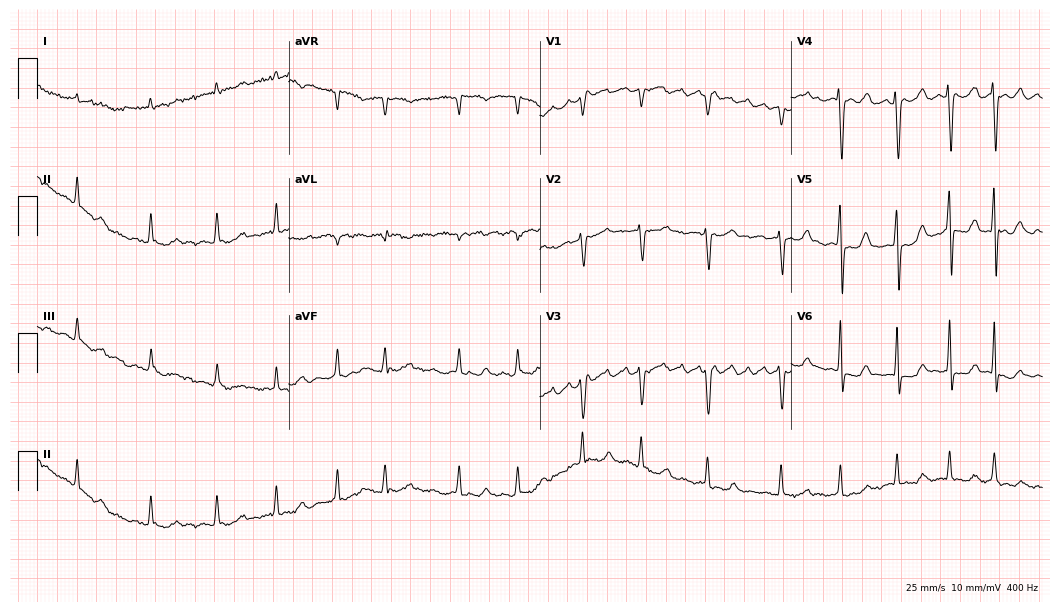
Standard 12-lead ECG recorded from a female, 46 years old. The tracing shows atrial fibrillation (AF).